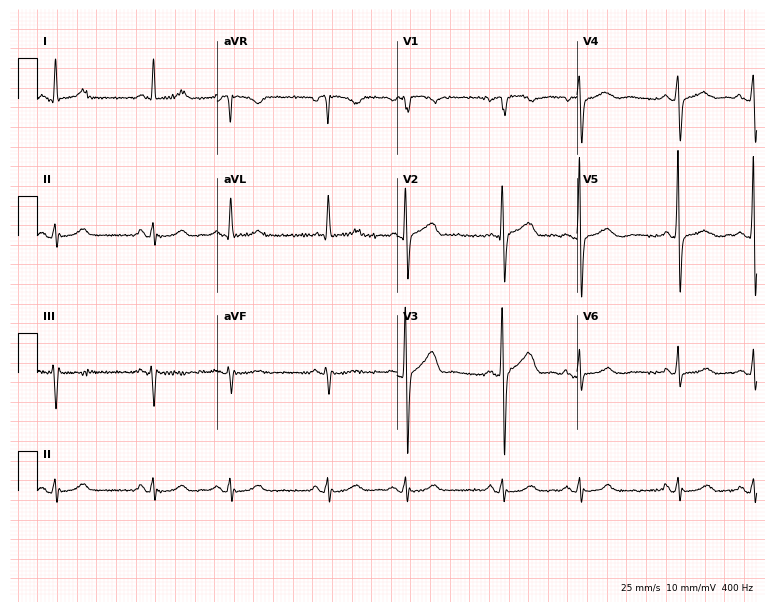
Resting 12-lead electrocardiogram (7.3-second recording at 400 Hz). Patient: a 78-year-old man. Read as a normal ECG.